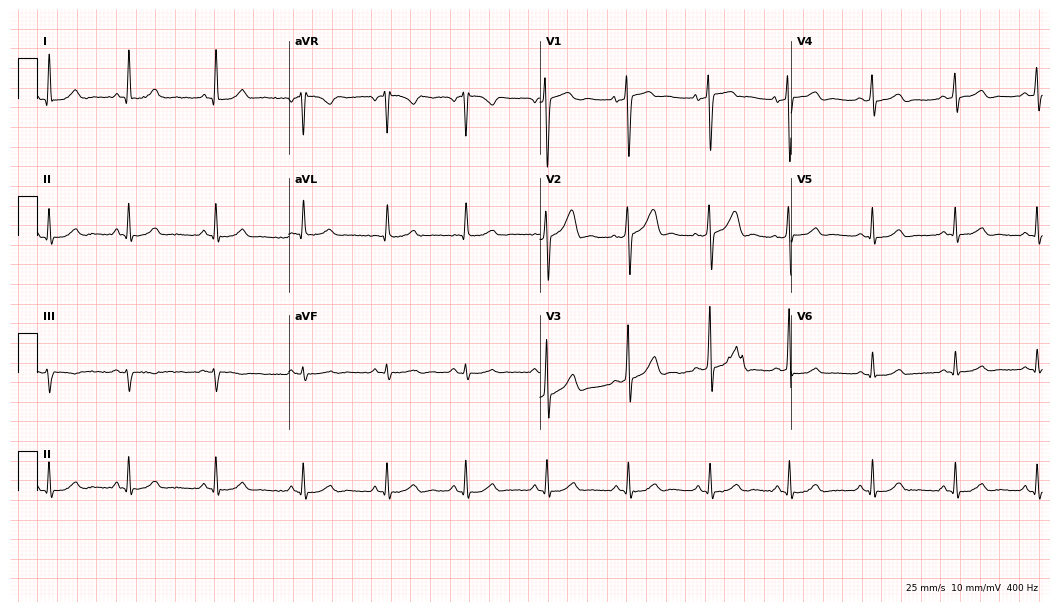
Standard 12-lead ECG recorded from a 22-year-old man. Read as a normal ECG.